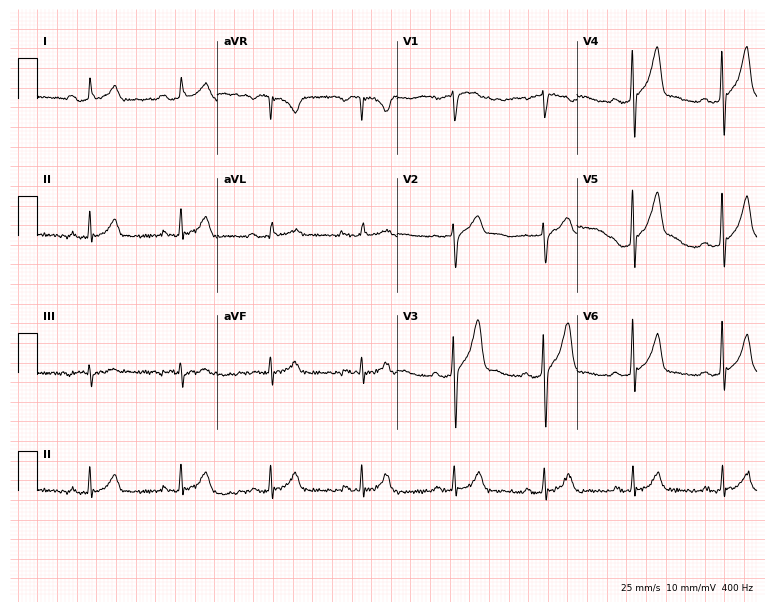
ECG — a 41-year-old male. Screened for six findings — first-degree AV block, right bundle branch block (RBBB), left bundle branch block (LBBB), sinus bradycardia, atrial fibrillation (AF), sinus tachycardia — none is recorded.